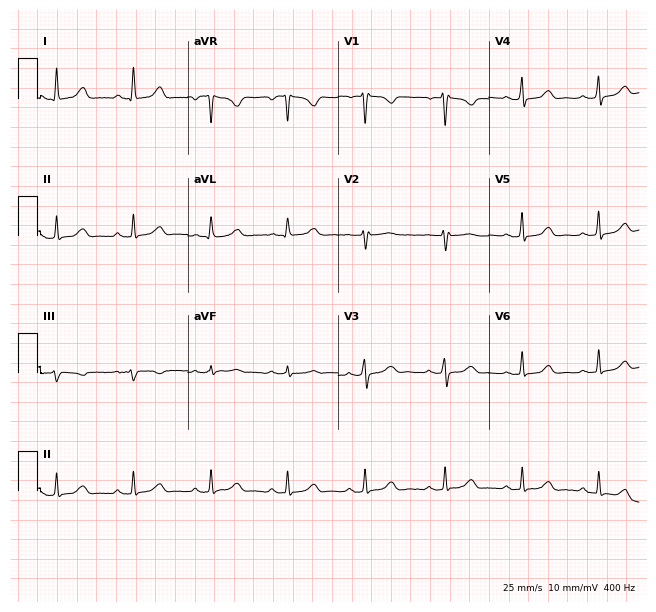
12-lead ECG (6.1-second recording at 400 Hz) from a 40-year-old female. Screened for six findings — first-degree AV block, right bundle branch block, left bundle branch block, sinus bradycardia, atrial fibrillation, sinus tachycardia — none is recorded.